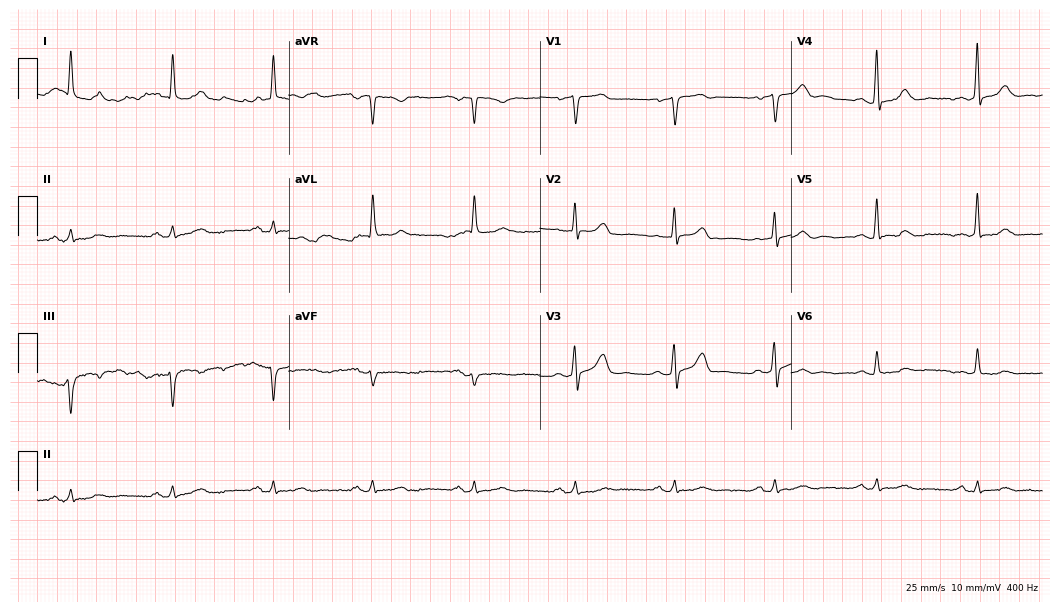
ECG — a male, 58 years old. Screened for six findings — first-degree AV block, right bundle branch block (RBBB), left bundle branch block (LBBB), sinus bradycardia, atrial fibrillation (AF), sinus tachycardia — none is recorded. Other findings, if any, are not listed.